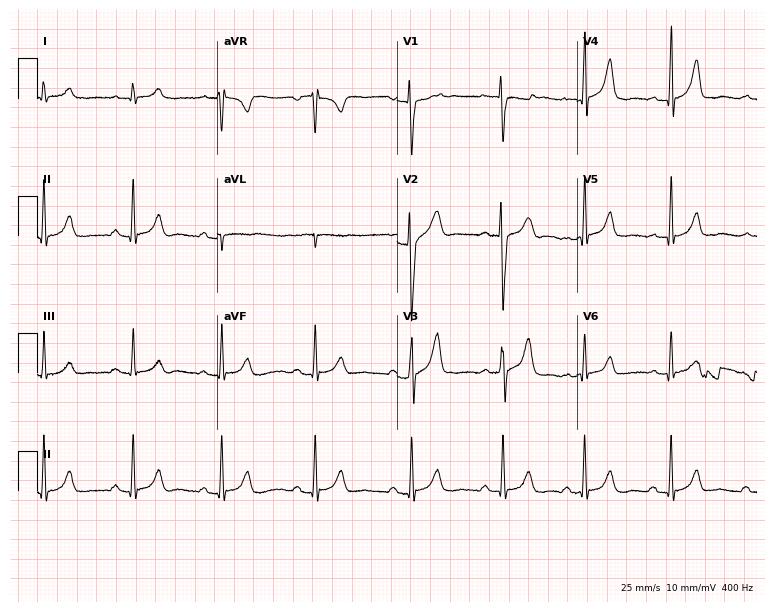
Resting 12-lead electrocardiogram. Patient: a female, 20 years old. Read as a normal ECG.